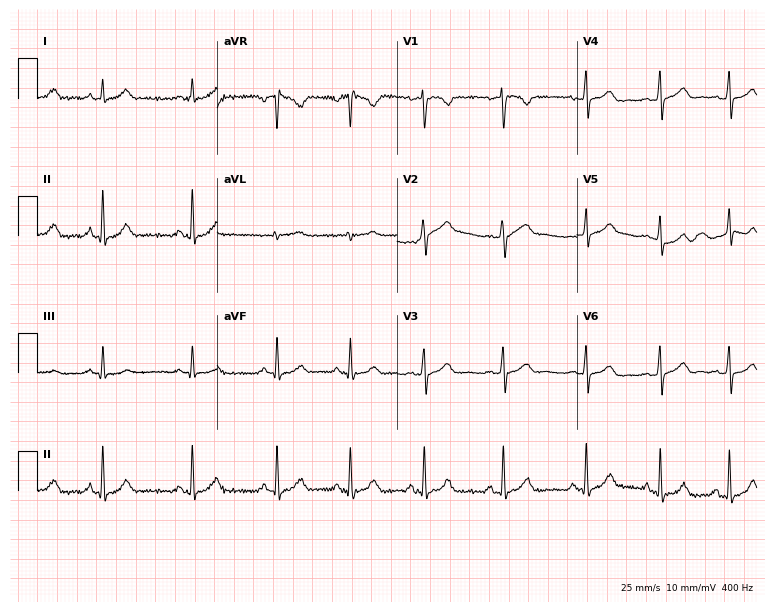
12-lead ECG from a woman, 18 years old (7.3-second recording at 400 Hz). No first-degree AV block, right bundle branch block (RBBB), left bundle branch block (LBBB), sinus bradycardia, atrial fibrillation (AF) or sinus tachycardia recorded for this tracing.